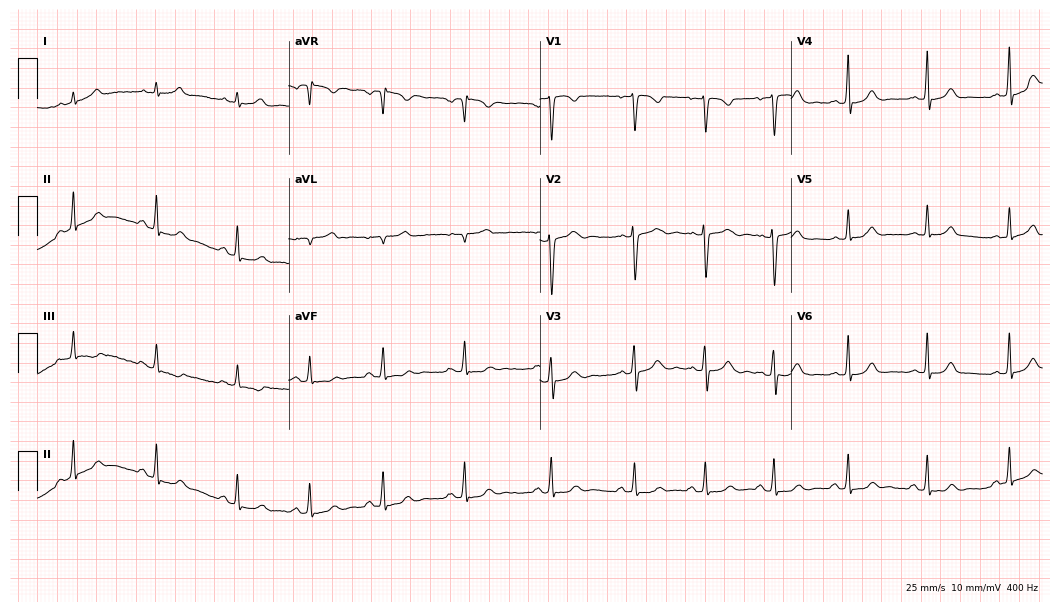
12-lead ECG from a woman, 19 years old. No first-degree AV block, right bundle branch block, left bundle branch block, sinus bradycardia, atrial fibrillation or sinus tachycardia recorded for this tracing.